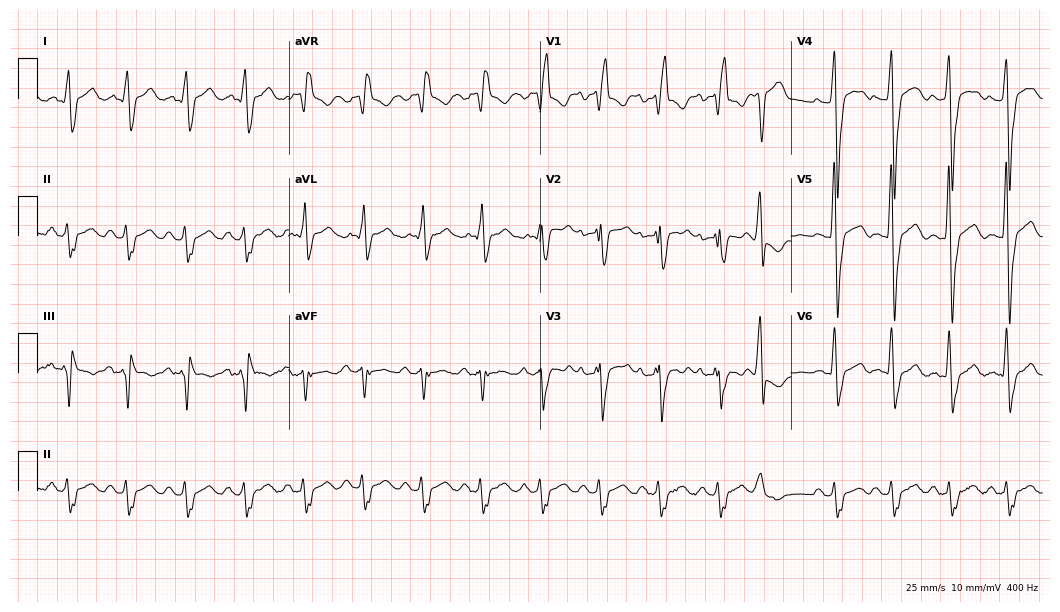
ECG — a male, 75 years old. Screened for six findings — first-degree AV block, right bundle branch block (RBBB), left bundle branch block (LBBB), sinus bradycardia, atrial fibrillation (AF), sinus tachycardia — none is recorded.